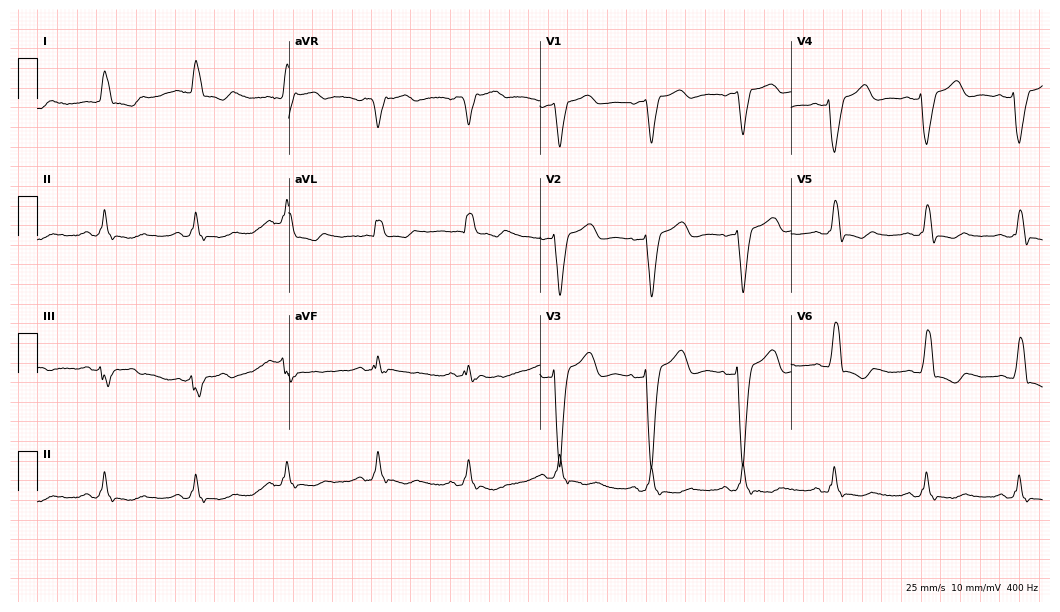
12-lead ECG (10.2-second recording at 400 Hz) from a male patient, 68 years old. Findings include left bundle branch block.